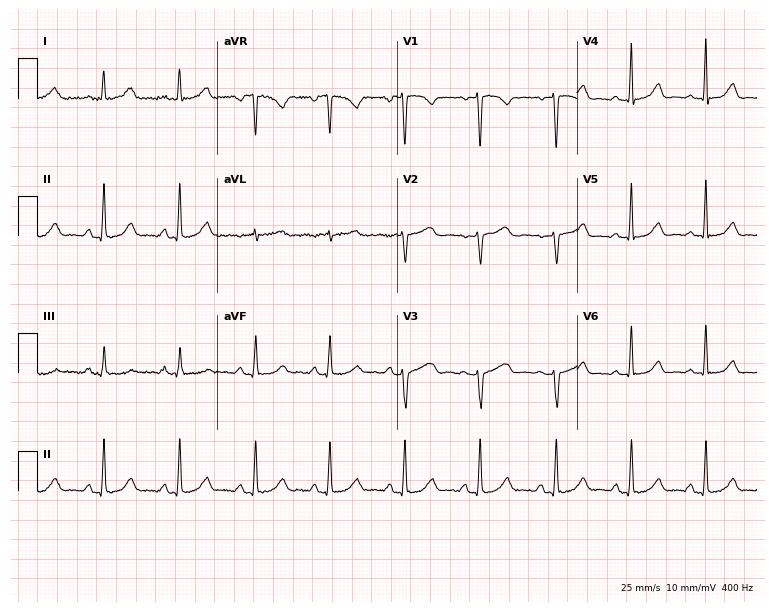
Resting 12-lead electrocardiogram. Patient: a woman, 47 years old. Read as a normal ECG.